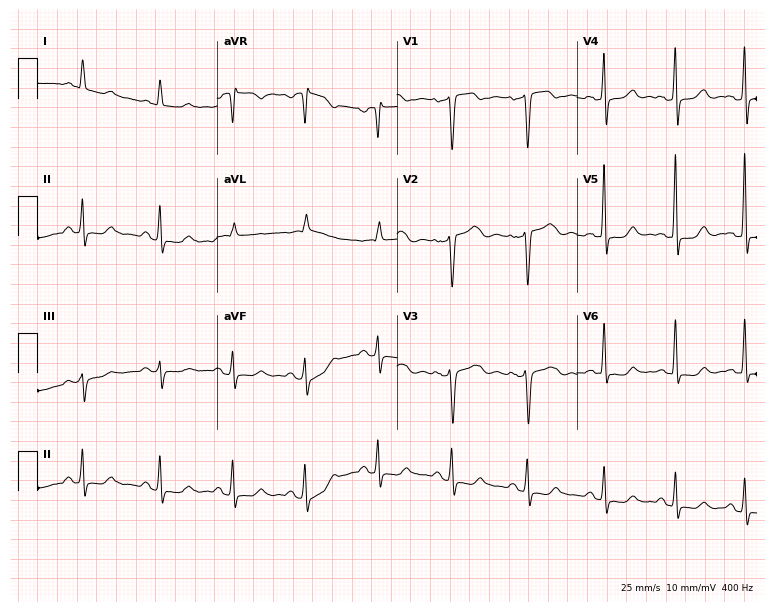
12-lead ECG from a 51-year-old female. Screened for six findings — first-degree AV block, right bundle branch block, left bundle branch block, sinus bradycardia, atrial fibrillation, sinus tachycardia — none is recorded.